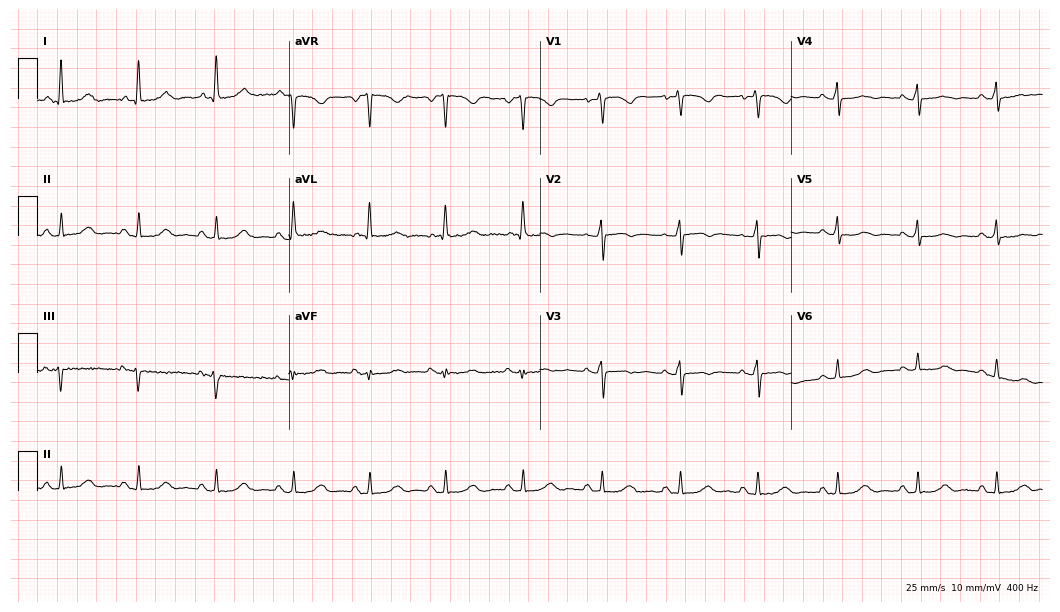
12-lead ECG from a woman, 69 years old (10.2-second recording at 400 Hz). No first-degree AV block, right bundle branch block, left bundle branch block, sinus bradycardia, atrial fibrillation or sinus tachycardia recorded for this tracing. Other findings, if any, are not listed.